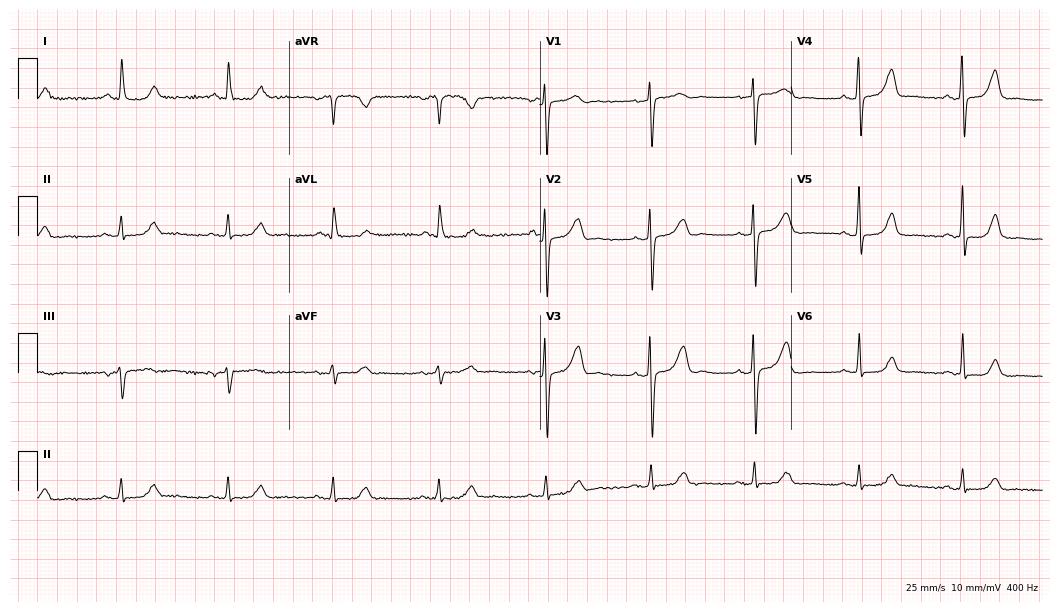
Electrocardiogram (10.2-second recording at 400 Hz), a 64-year-old female. Of the six screened findings (first-degree AV block, right bundle branch block, left bundle branch block, sinus bradycardia, atrial fibrillation, sinus tachycardia), none is recorded. Other findings, if any, are not listed.